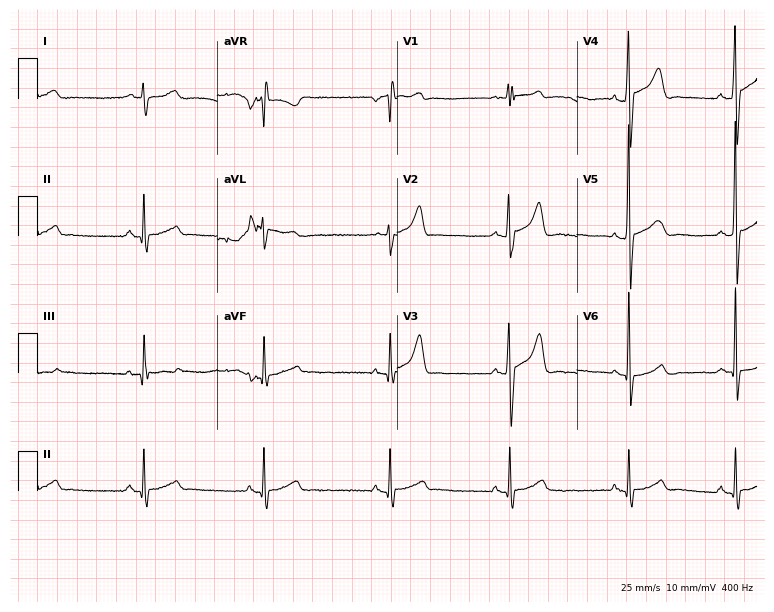
12-lead ECG from a male patient, 28 years old. Findings include sinus bradycardia (a sinus rate of 50 beats per minute or less).